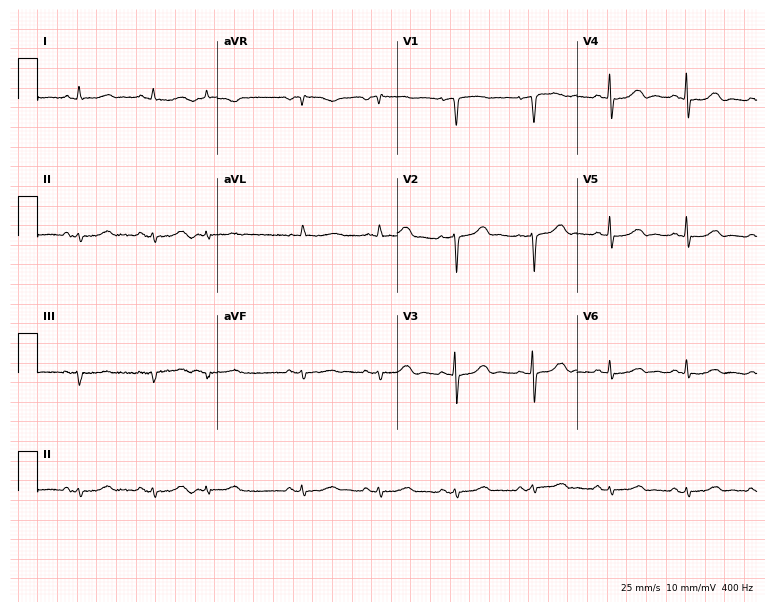
12-lead ECG from an 81-year-old female. No first-degree AV block, right bundle branch block (RBBB), left bundle branch block (LBBB), sinus bradycardia, atrial fibrillation (AF) or sinus tachycardia recorded for this tracing.